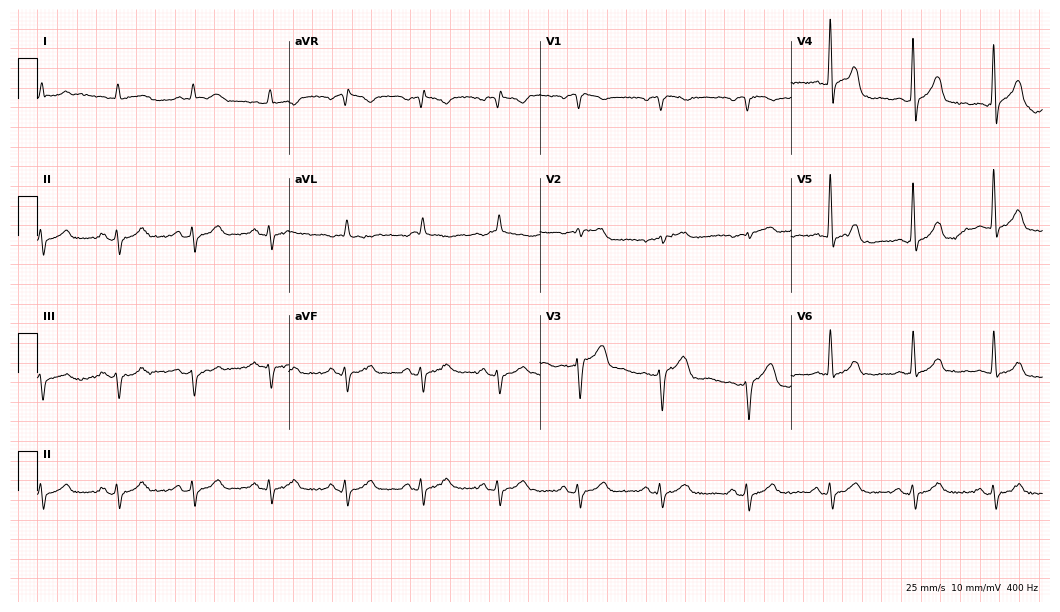
12-lead ECG from a man, 80 years old. No first-degree AV block, right bundle branch block, left bundle branch block, sinus bradycardia, atrial fibrillation or sinus tachycardia recorded for this tracing. Findings outside these six are not listed.